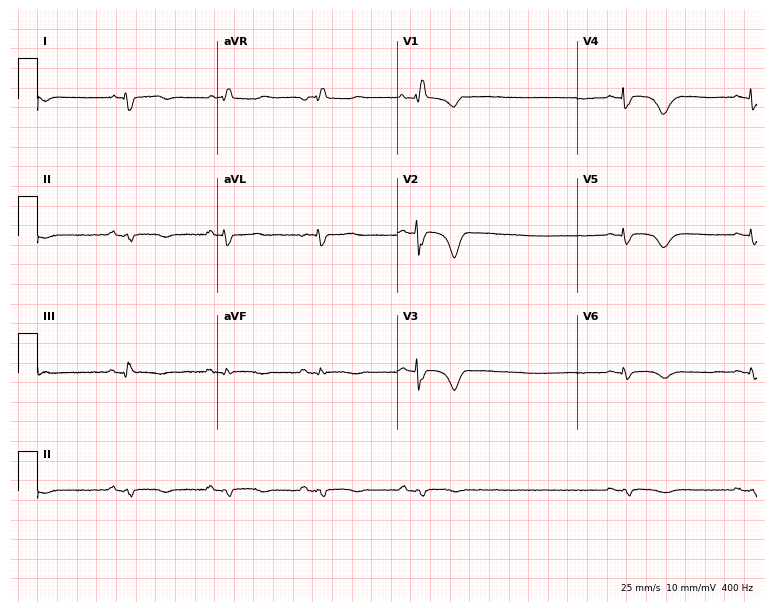
Standard 12-lead ECG recorded from a female, 30 years old. None of these six findings is recorded: first-degree AV block, right bundle branch block (RBBB), left bundle branch block (LBBB), sinus bradycardia, atrial fibrillation (AF), sinus tachycardia.